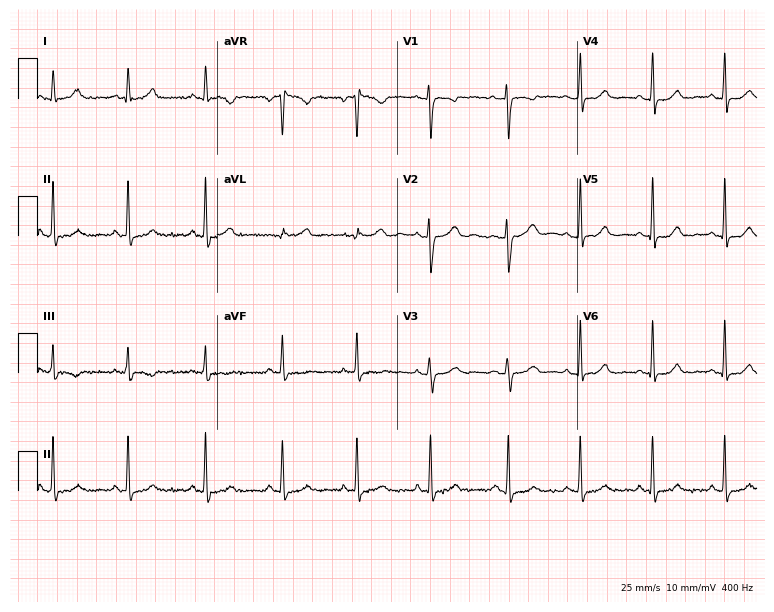
12-lead ECG (7.3-second recording at 400 Hz) from a 38-year-old female patient. Labelled as a normal ECG.